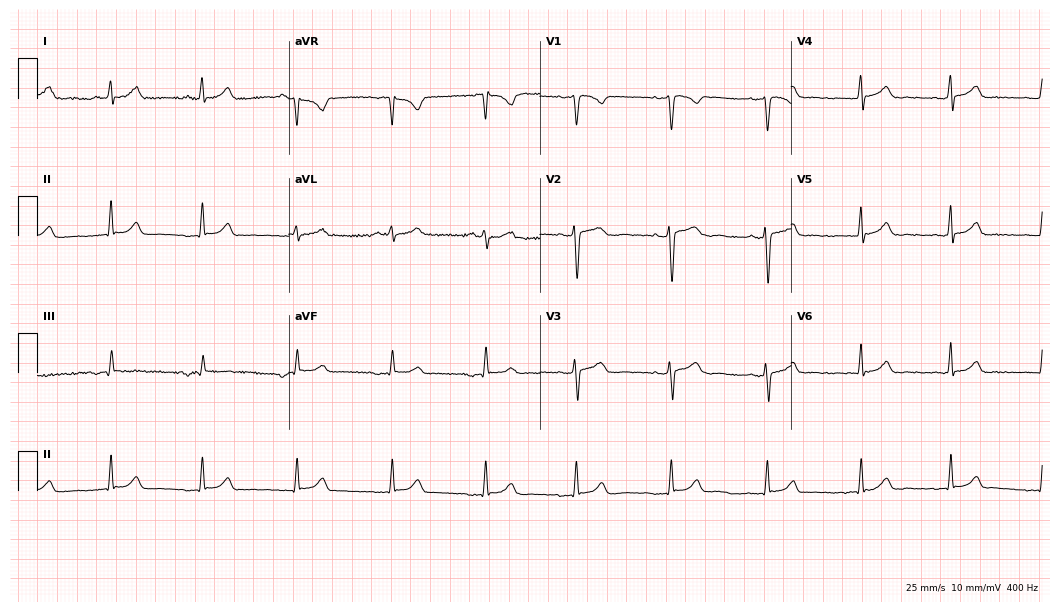
12-lead ECG from a female patient, 42 years old. Recorded interpretation: within normal limits.